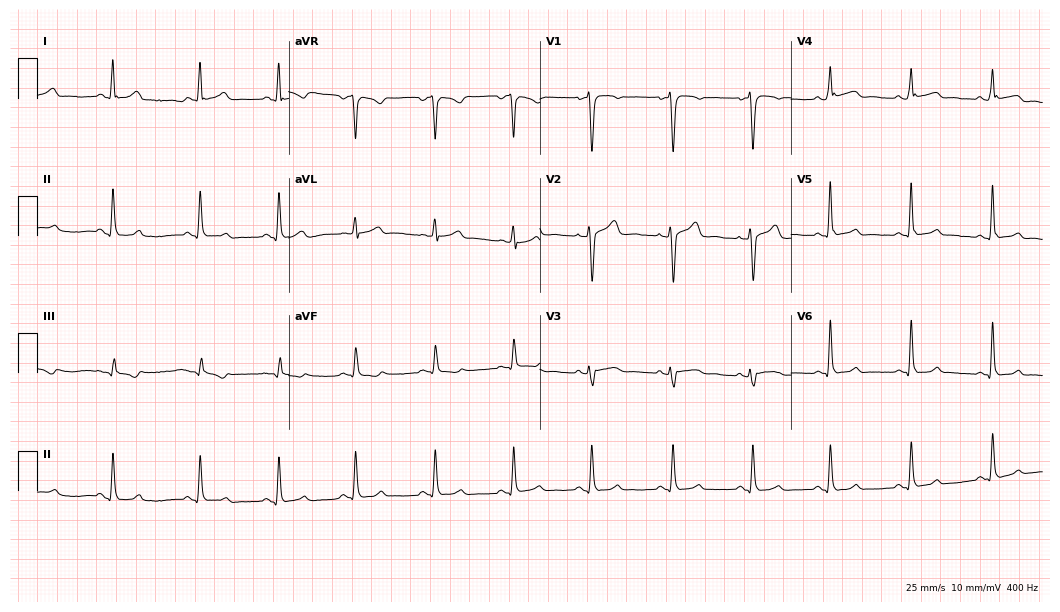
12-lead ECG from a male, 28 years old. No first-degree AV block, right bundle branch block (RBBB), left bundle branch block (LBBB), sinus bradycardia, atrial fibrillation (AF) or sinus tachycardia recorded for this tracing.